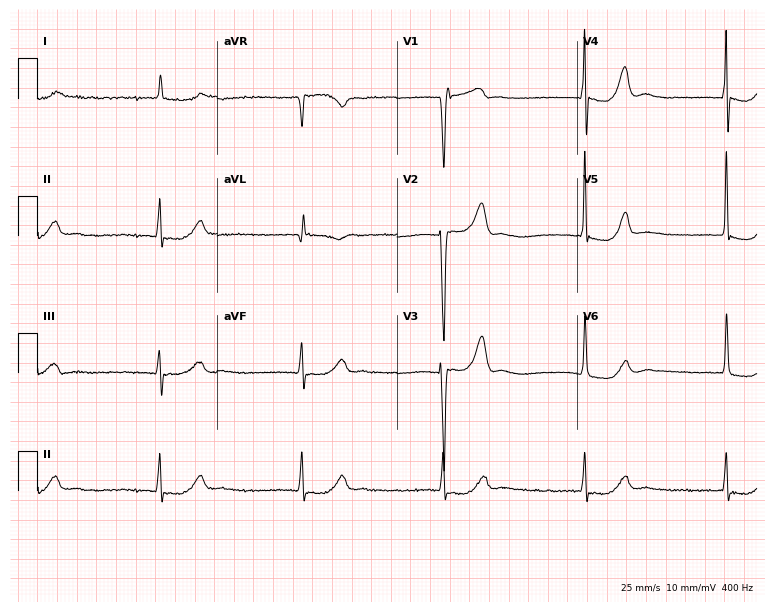
Standard 12-lead ECG recorded from an 83-year-old female. None of these six findings is recorded: first-degree AV block, right bundle branch block, left bundle branch block, sinus bradycardia, atrial fibrillation, sinus tachycardia.